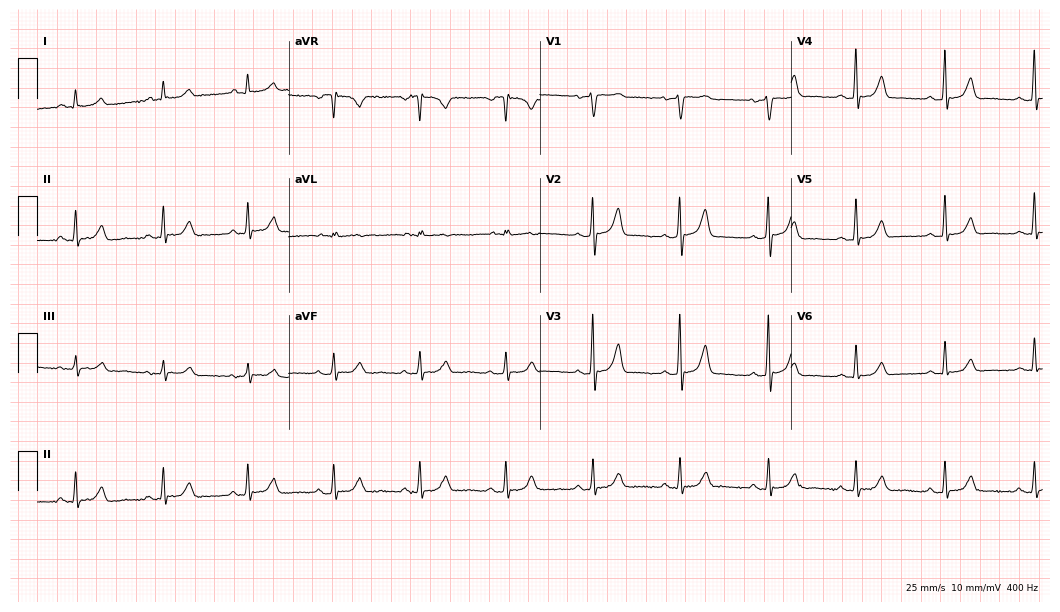
Electrocardiogram (10.2-second recording at 400 Hz), a 65-year-old female. Overall reading on record: normal ECG.